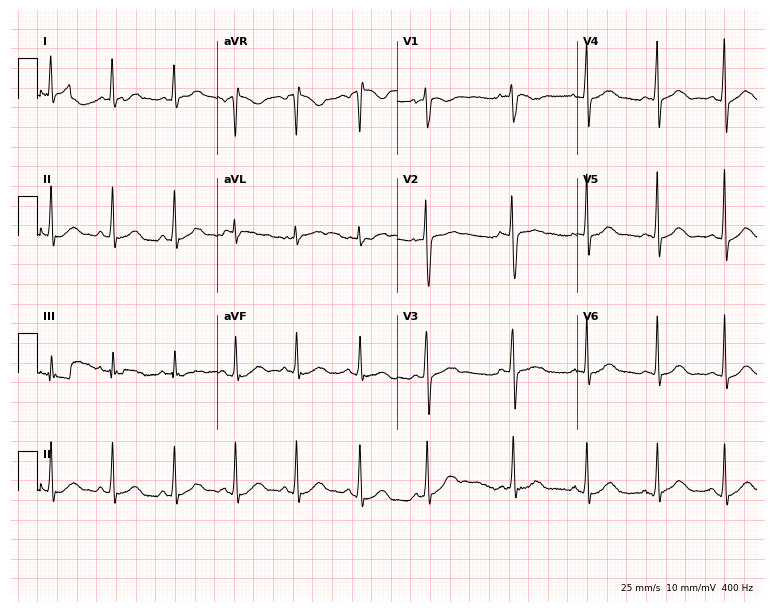
12-lead ECG from a female, 26 years old (7.3-second recording at 400 Hz). No first-degree AV block, right bundle branch block, left bundle branch block, sinus bradycardia, atrial fibrillation or sinus tachycardia recorded for this tracing. Findings outside these six are not listed.